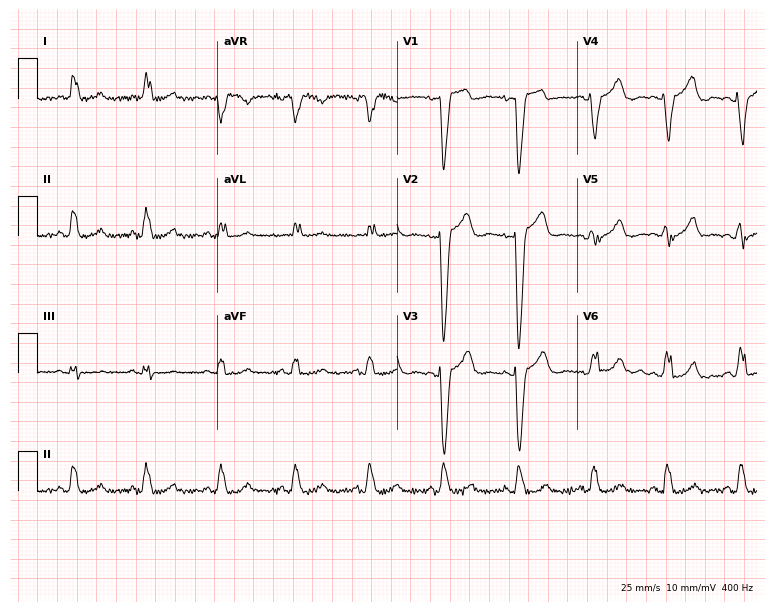
Resting 12-lead electrocardiogram. Patient: a female, 63 years old. None of these six findings is recorded: first-degree AV block, right bundle branch block (RBBB), left bundle branch block (LBBB), sinus bradycardia, atrial fibrillation (AF), sinus tachycardia.